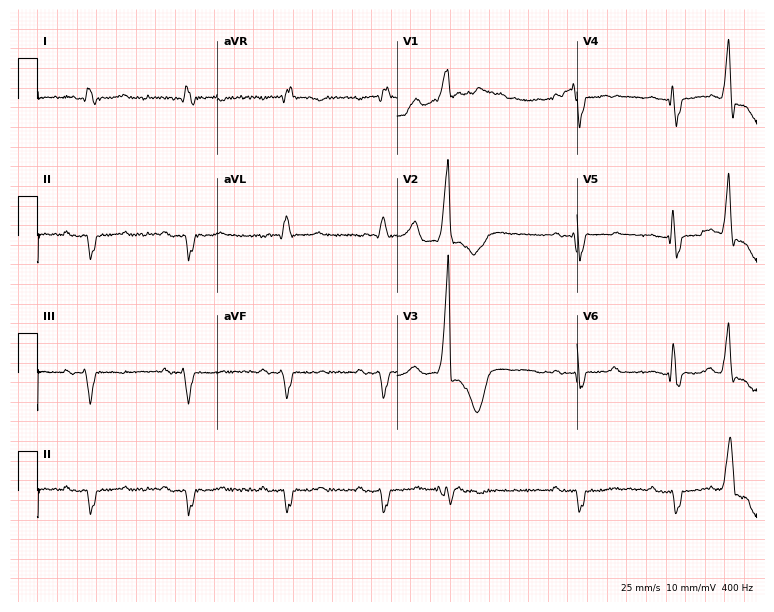
Standard 12-lead ECG recorded from a male, 66 years old (7.3-second recording at 400 Hz). None of these six findings is recorded: first-degree AV block, right bundle branch block, left bundle branch block, sinus bradycardia, atrial fibrillation, sinus tachycardia.